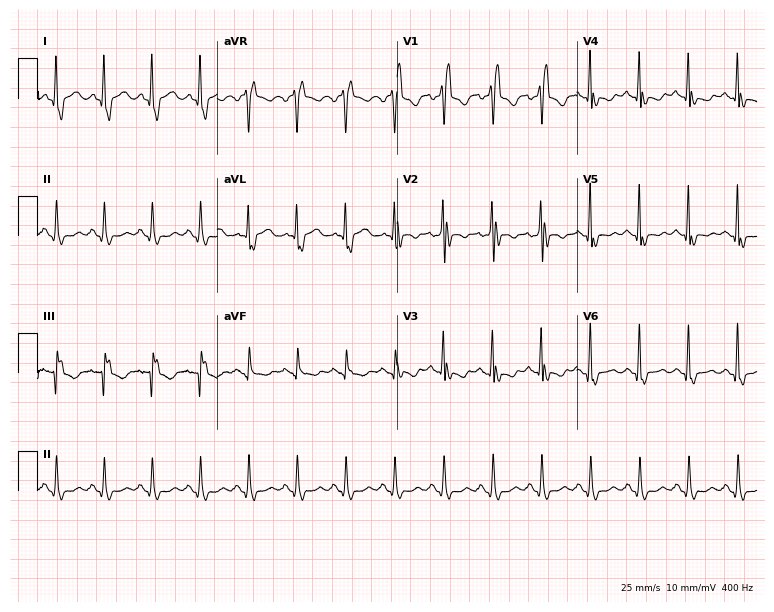
12-lead ECG from a male patient, 41 years old. Findings include right bundle branch block, sinus tachycardia (a sinus rate of 100 beats per minute or more).